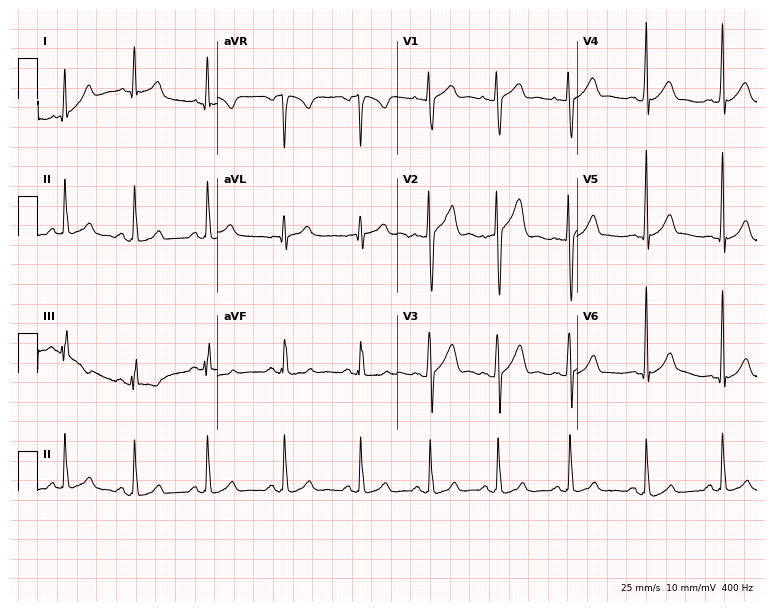
Standard 12-lead ECG recorded from a 20-year-old man. None of these six findings is recorded: first-degree AV block, right bundle branch block (RBBB), left bundle branch block (LBBB), sinus bradycardia, atrial fibrillation (AF), sinus tachycardia. Findings outside these six are not listed.